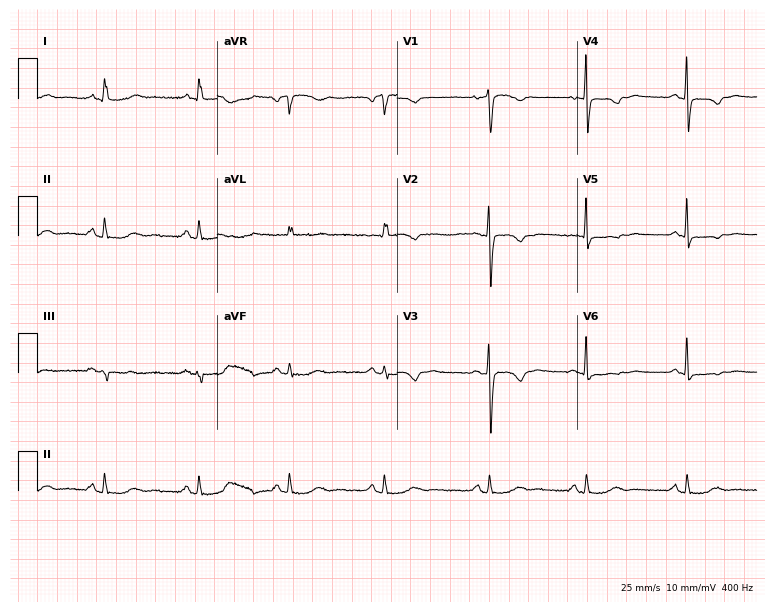
Standard 12-lead ECG recorded from a woman, 58 years old (7.3-second recording at 400 Hz). None of these six findings is recorded: first-degree AV block, right bundle branch block, left bundle branch block, sinus bradycardia, atrial fibrillation, sinus tachycardia.